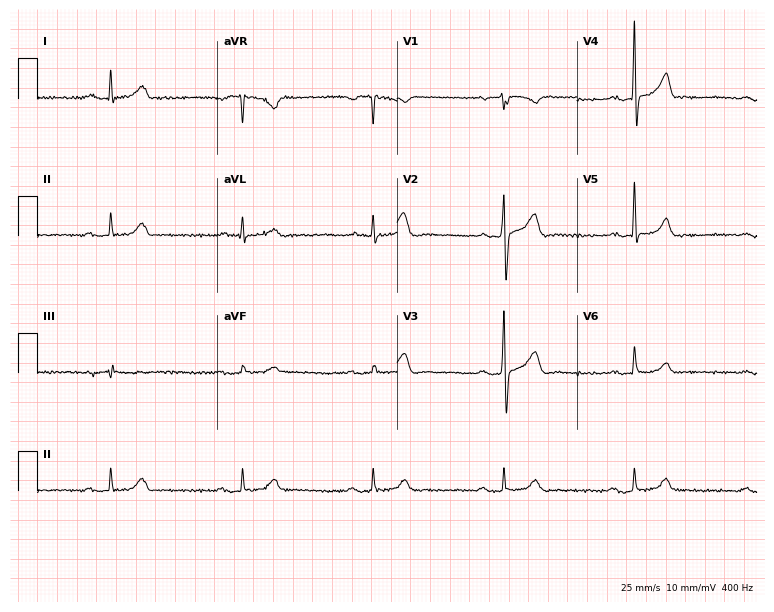
ECG (7.3-second recording at 400 Hz) — a 45-year-old man. Screened for six findings — first-degree AV block, right bundle branch block, left bundle branch block, sinus bradycardia, atrial fibrillation, sinus tachycardia — none is recorded. Other findings, if any, are not listed.